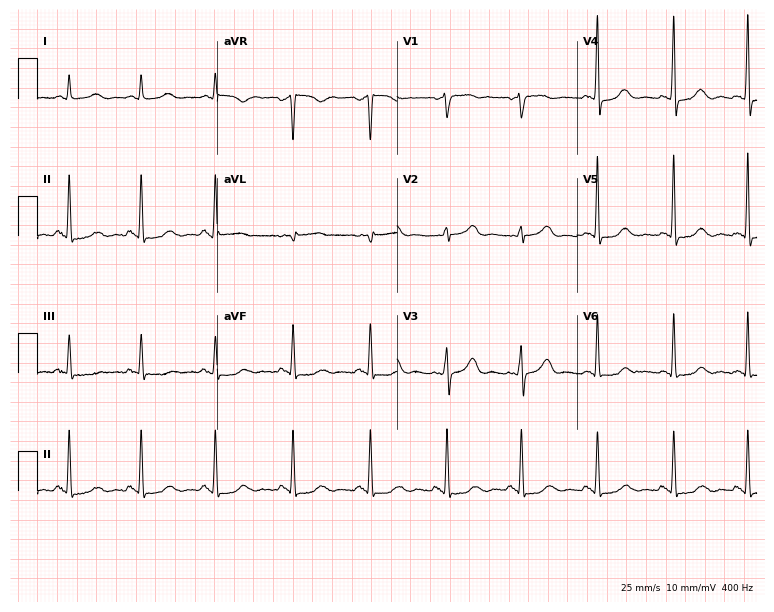
ECG (7.3-second recording at 400 Hz) — a female, 63 years old. Screened for six findings — first-degree AV block, right bundle branch block, left bundle branch block, sinus bradycardia, atrial fibrillation, sinus tachycardia — none is recorded. Other findings, if any, are not listed.